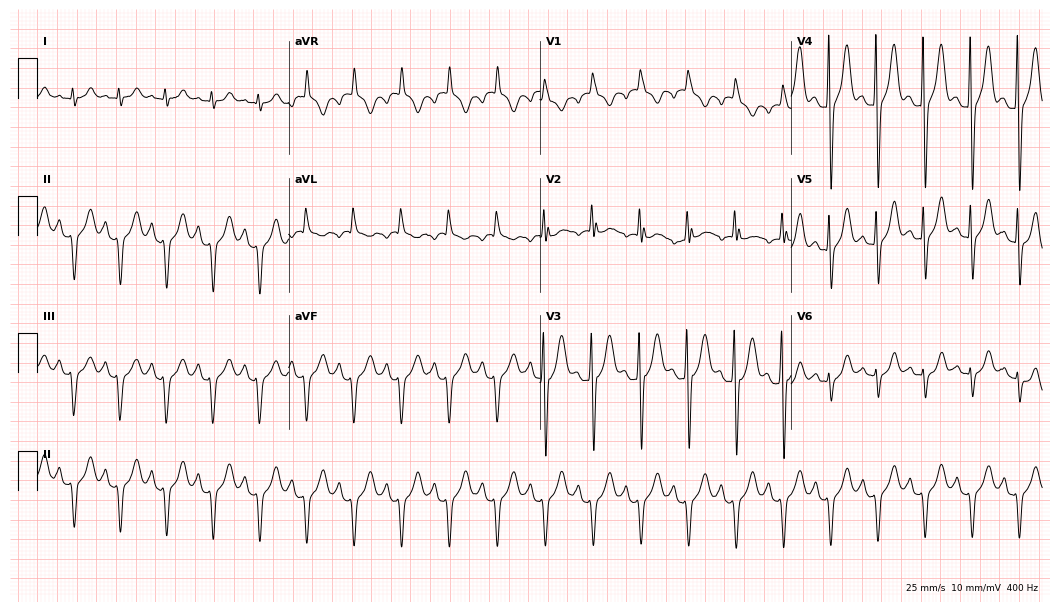
12-lead ECG from a 61-year-old male patient (10.2-second recording at 400 Hz). Shows sinus tachycardia (a sinus rate of 100 beats per minute or more).